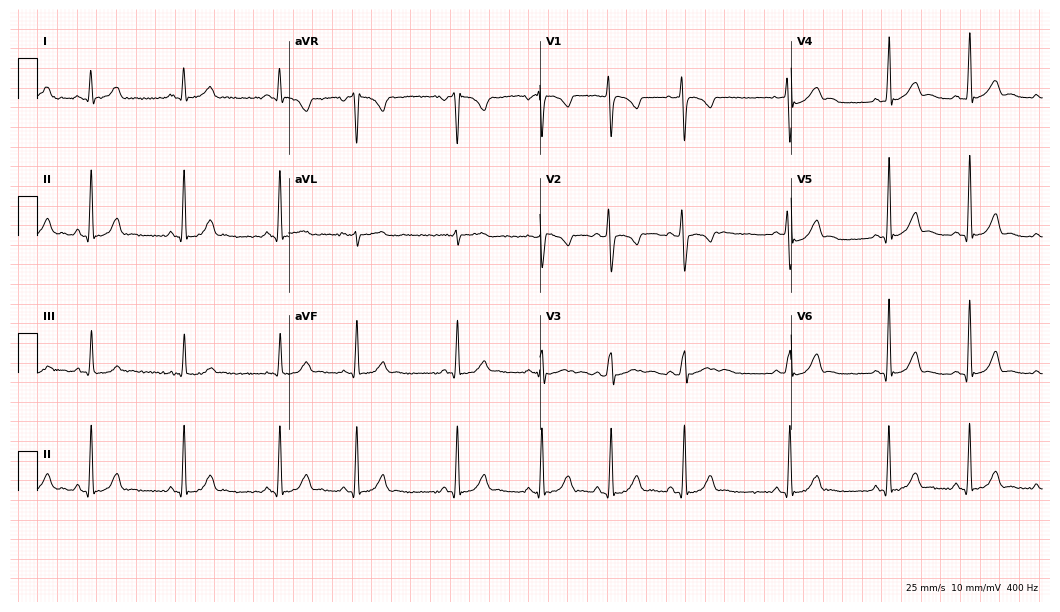
Resting 12-lead electrocardiogram (10.2-second recording at 400 Hz). Patient: a 17-year-old female. Read as a normal ECG.